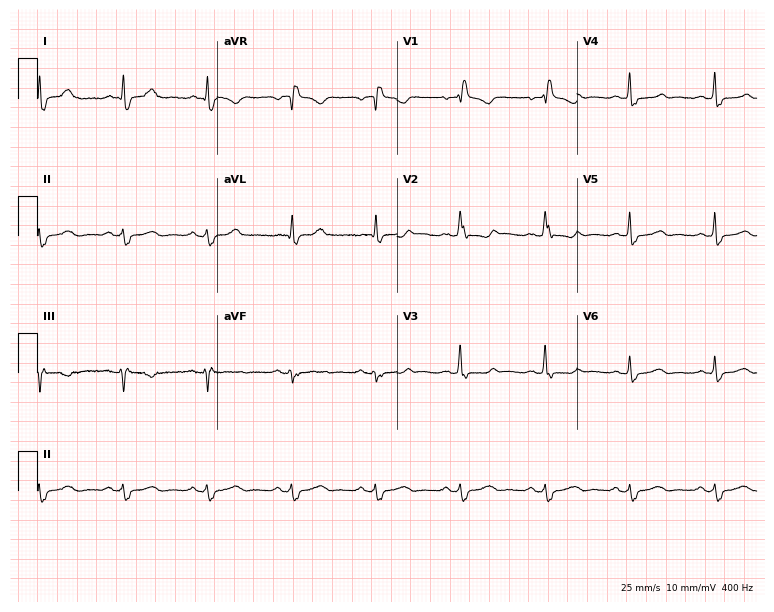
12-lead ECG from a female, 51 years old. Findings include right bundle branch block.